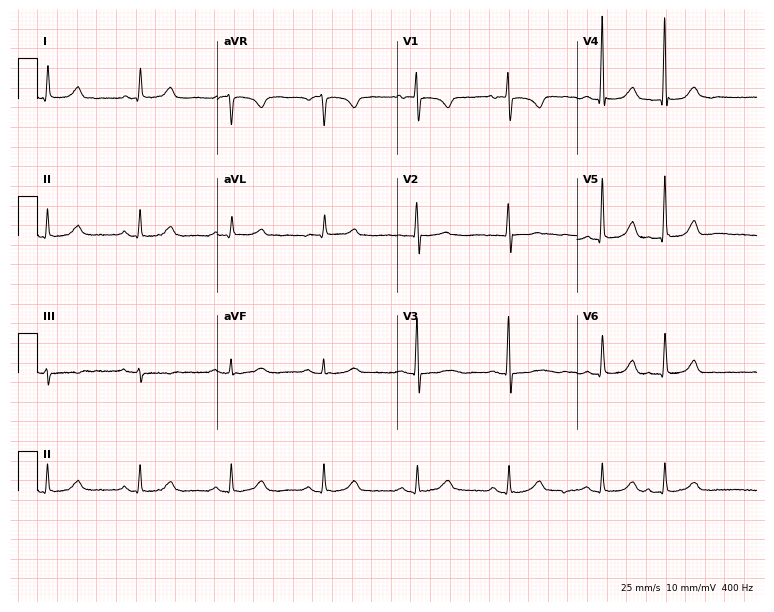
12-lead ECG (7.3-second recording at 400 Hz) from a female patient, 75 years old. Screened for six findings — first-degree AV block, right bundle branch block, left bundle branch block, sinus bradycardia, atrial fibrillation, sinus tachycardia — none is recorded. Other findings, if any, are not listed.